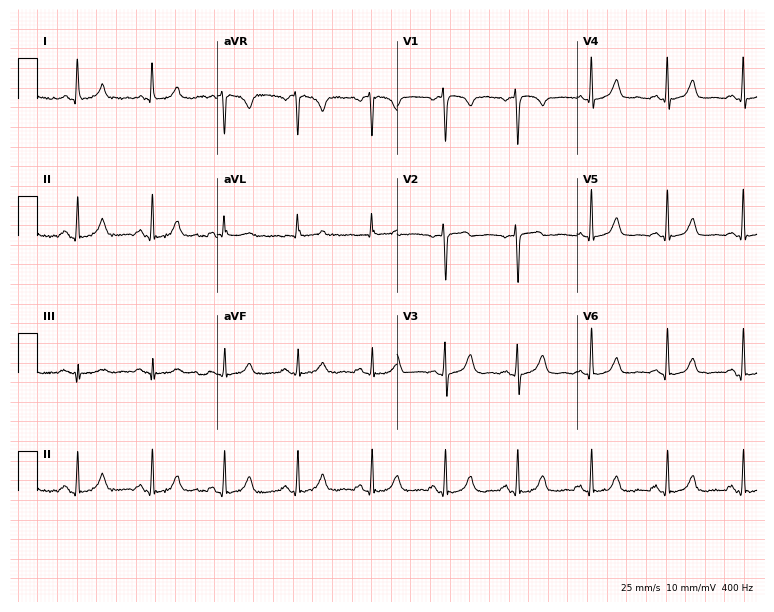
Electrocardiogram (7.3-second recording at 400 Hz), a 39-year-old female patient. Overall reading on record: normal ECG.